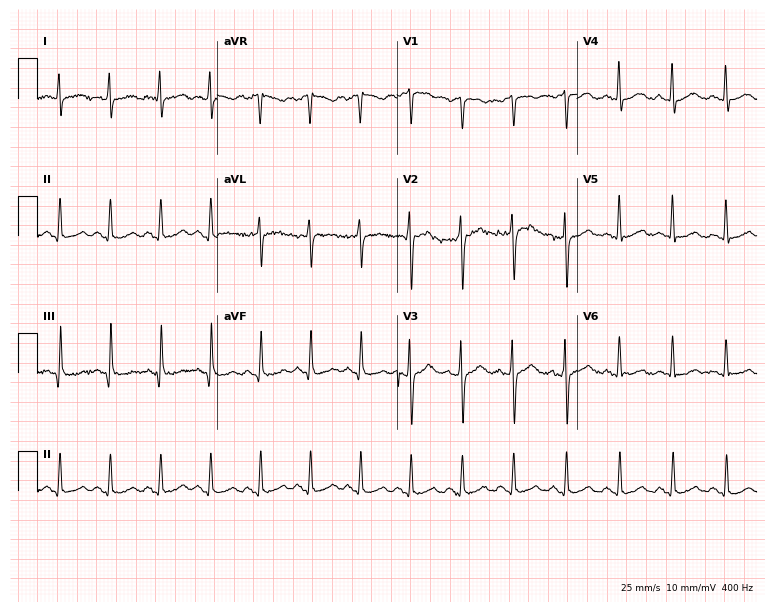
ECG (7.3-second recording at 400 Hz) — a 47-year-old male. Findings include sinus tachycardia (a sinus rate of 100 beats per minute or more).